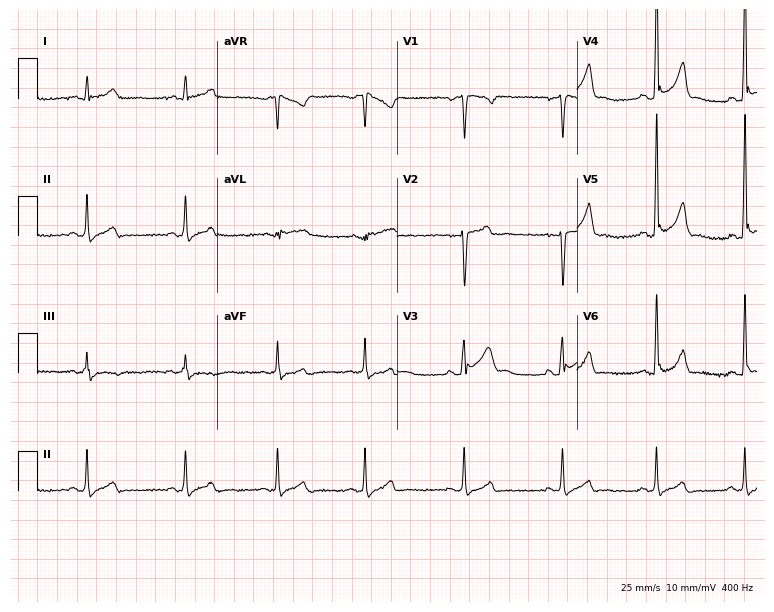
ECG (7.3-second recording at 400 Hz) — a male patient, 21 years old. Screened for six findings — first-degree AV block, right bundle branch block, left bundle branch block, sinus bradycardia, atrial fibrillation, sinus tachycardia — none is recorded.